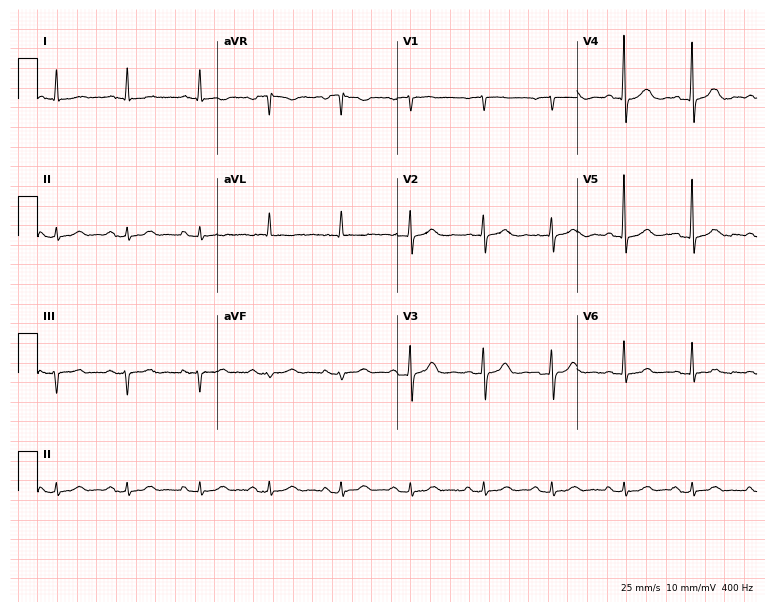
ECG (7.3-second recording at 400 Hz) — a 79-year-old male. Labelled as a normal ECG.